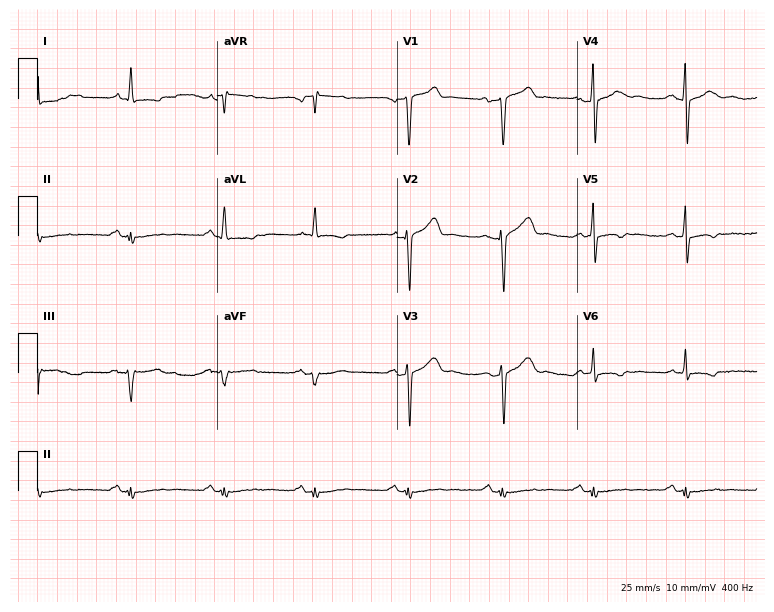
Resting 12-lead electrocardiogram. Patient: a 68-year-old male. None of these six findings is recorded: first-degree AV block, right bundle branch block, left bundle branch block, sinus bradycardia, atrial fibrillation, sinus tachycardia. Findings outside these six are not listed.